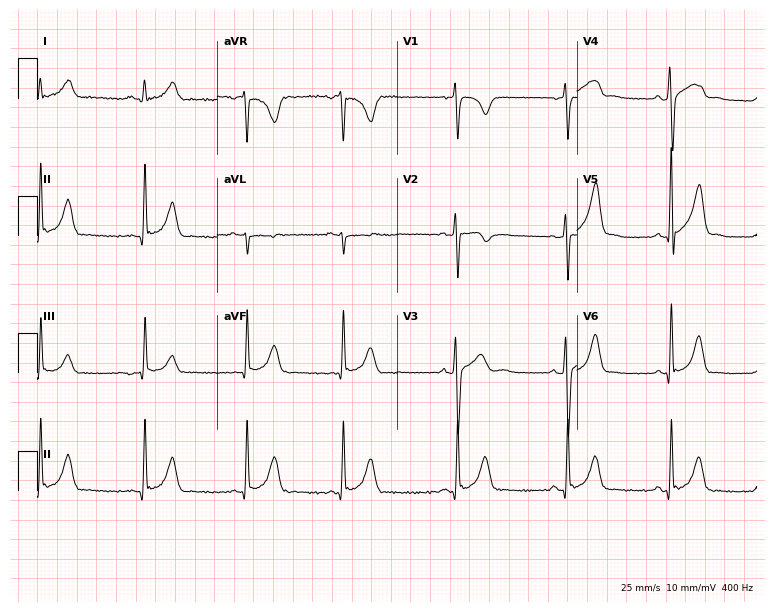
Standard 12-lead ECG recorded from a male patient, 28 years old. None of these six findings is recorded: first-degree AV block, right bundle branch block (RBBB), left bundle branch block (LBBB), sinus bradycardia, atrial fibrillation (AF), sinus tachycardia.